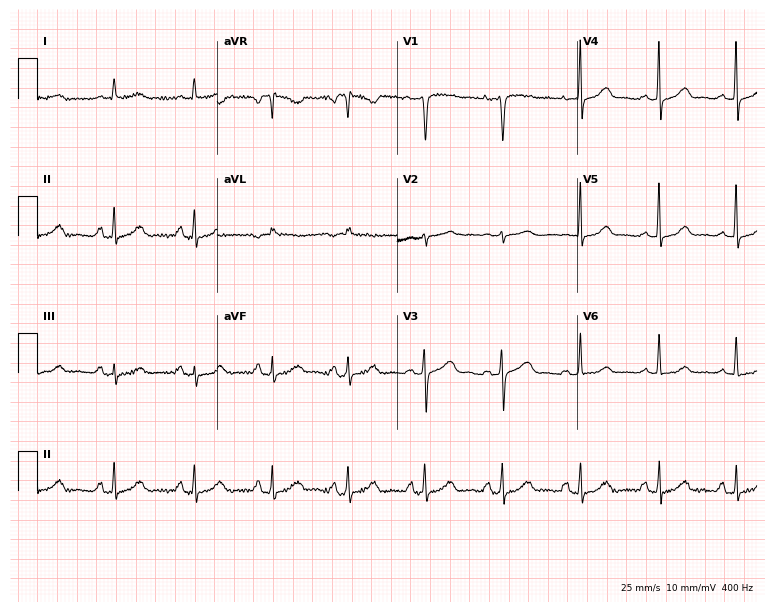
Standard 12-lead ECG recorded from a female, 53 years old. Read as a normal ECG.